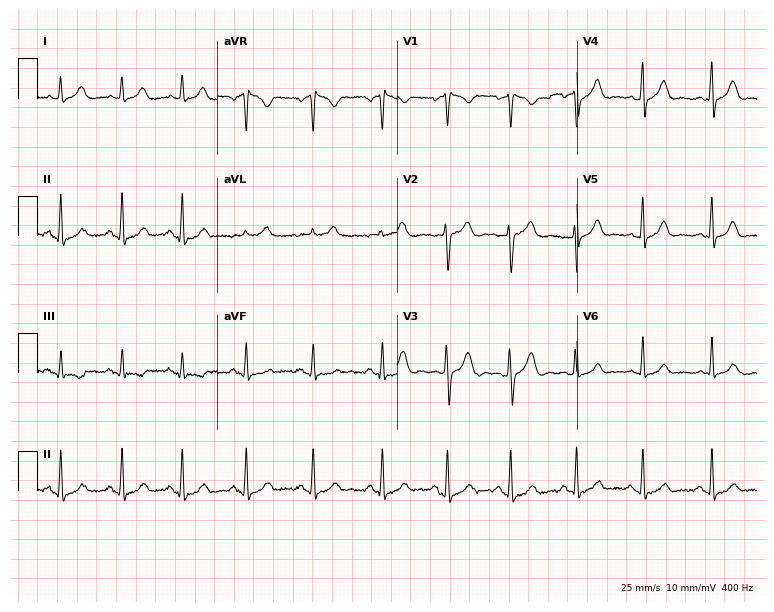
12-lead ECG from a woman, 30 years old. Labelled as a normal ECG.